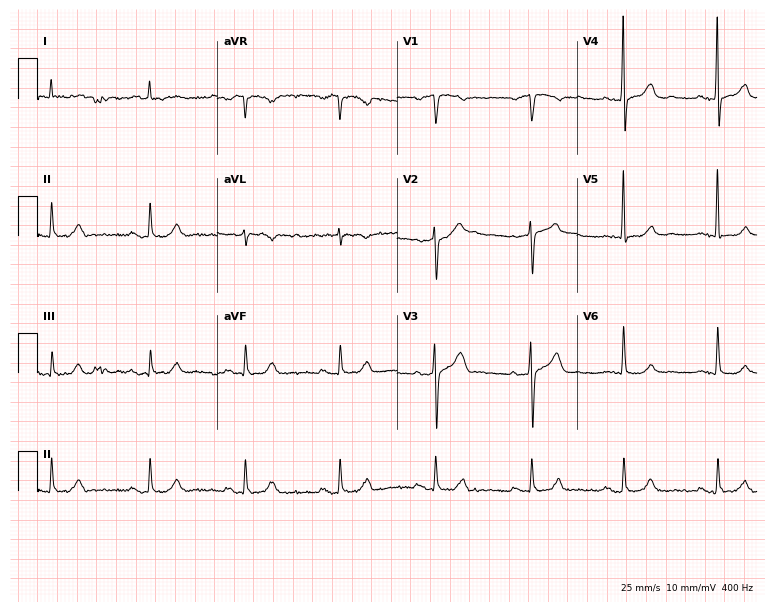
Resting 12-lead electrocardiogram. Patient: a male, 64 years old. None of these six findings is recorded: first-degree AV block, right bundle branch block, left bundle branch block, sinus bradycardia, atrial fibrillation, sinus tachycardia. Other findings, if any, are not listed.